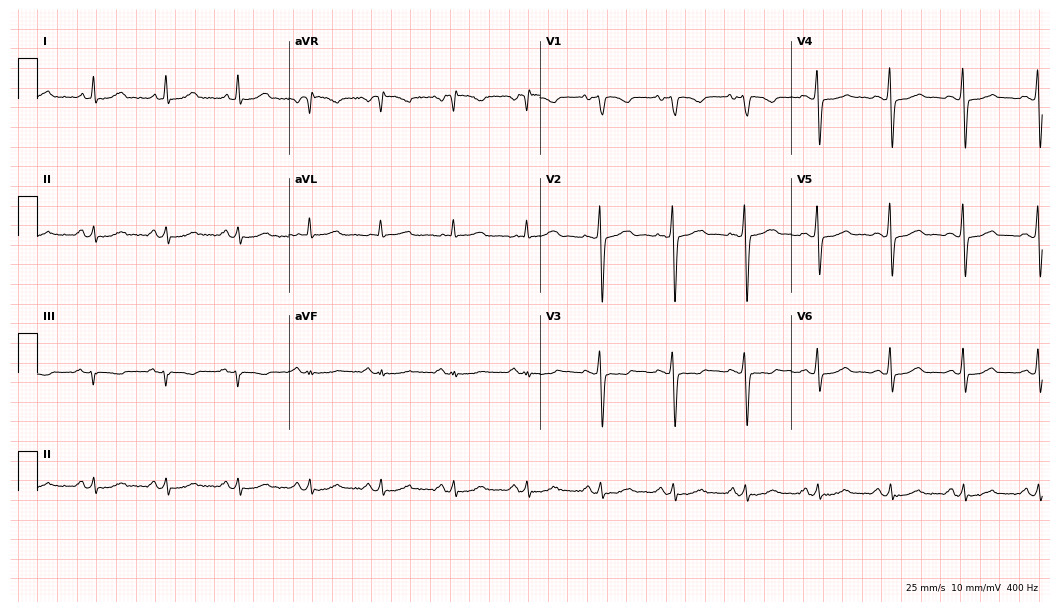
ECG — a 53-year-old woman. Labelled as a normal ECG.